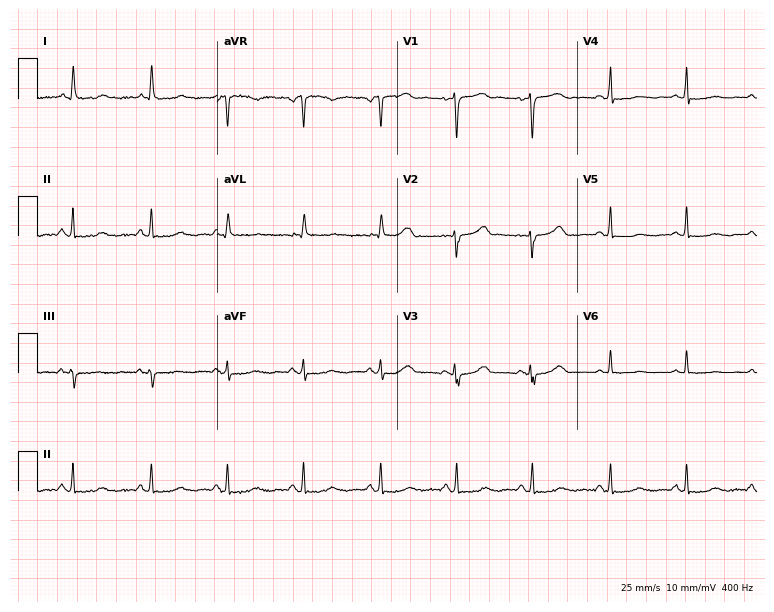
12-lead ECG from a female, 51 years old. No first-degree AV block, right bundle branch block, left bundle branch block, sinus bradycardia, atrial fibrillation or sinus tachycardia recorded for this tracing.